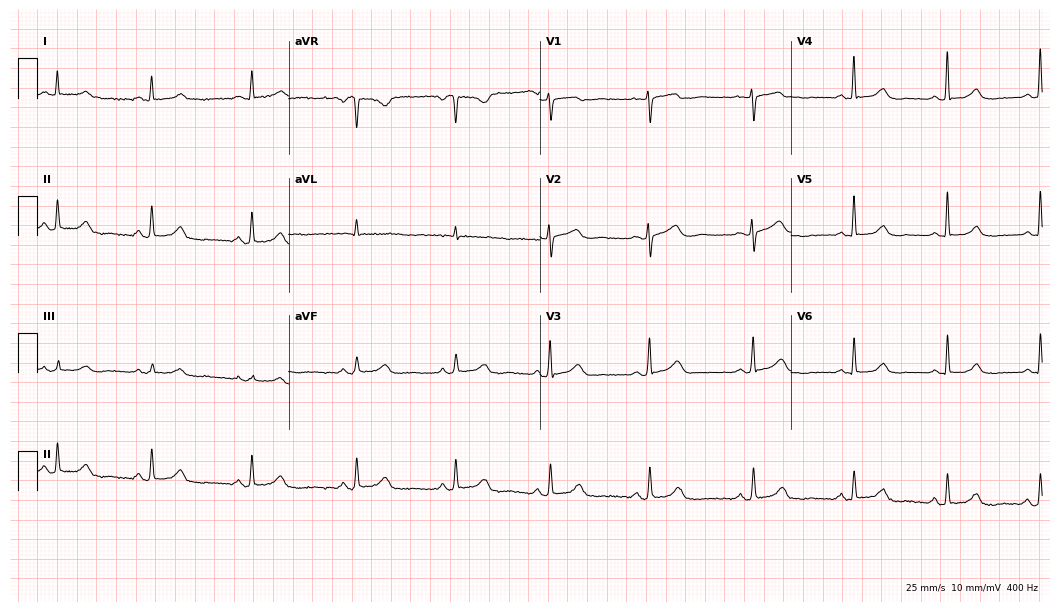
Standard 12-lead ECG recorded from a female patient, 44 years old. Read as a normal ECG.